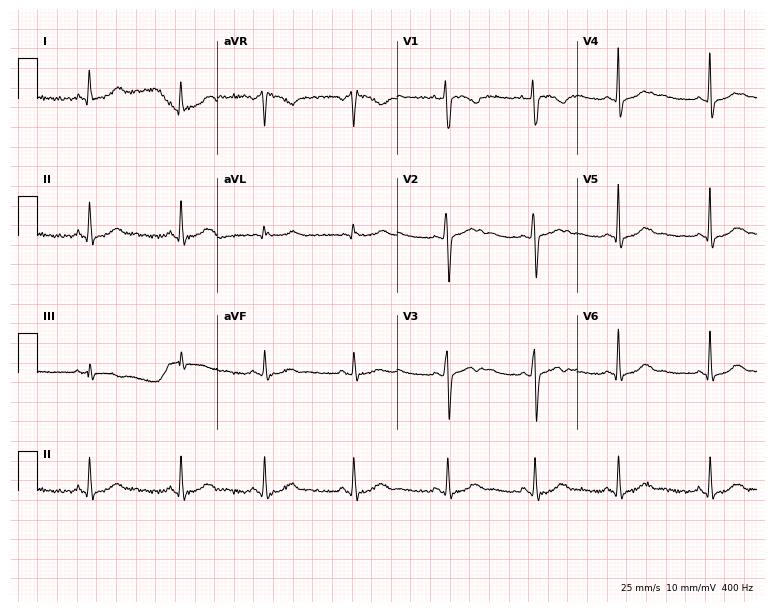
ECG — a 23-year-old female patient. Labelled as a normal ECG.